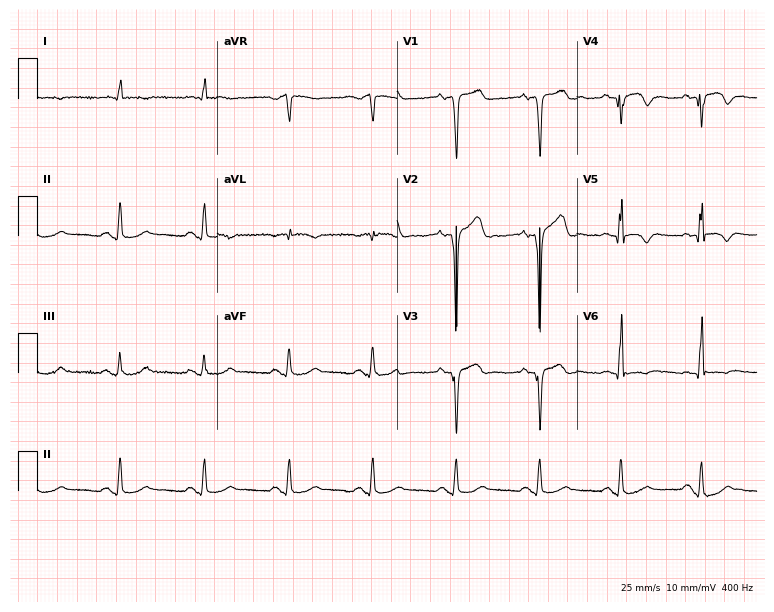
12-lead ECG (7.3-second recording at 400 Hz) from a 75-year-old woman. Screened for six findings — first-degree AV block, right bundle branch block (RBBB), left bundle branch block (LBBB), sinus bradycardia, atrial fibrillation (AF), sinus tachycardia — none is recorded. Findings outside these six are not listed.